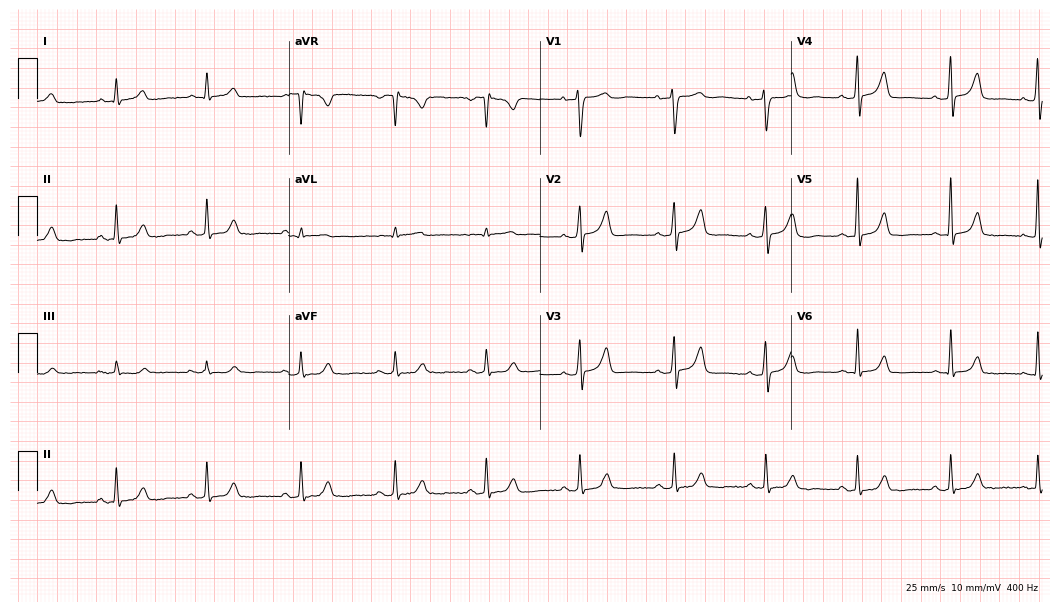
12-lead ECG (10.2-second recording at 400 Hz) from a 66-year-old woman. Labelled as a normal ECG.